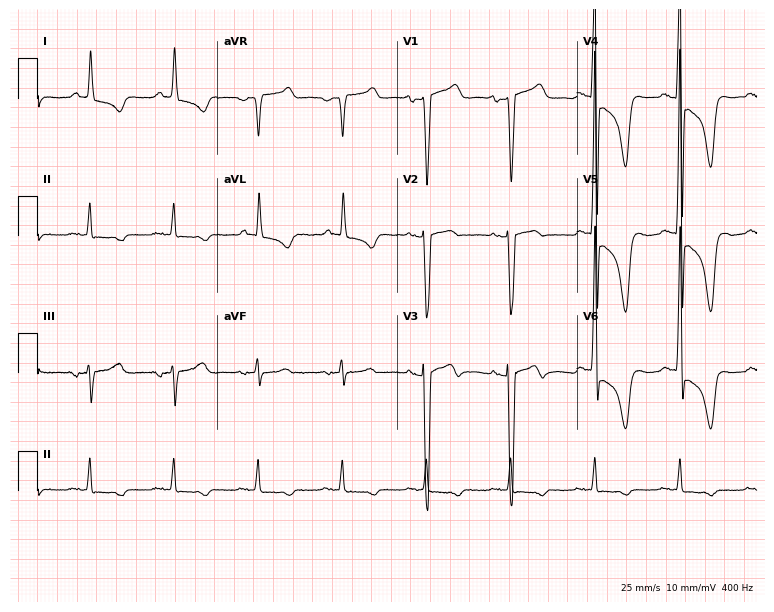
ECG (7.3-second recording at 400 Hz) — a man, 66 years old. Screened for six findings — first-degree AV block, right bundle branch block, left bundle branch block, sinus bradycardia, atrial fibrillation, sinus tachycardia — none is recorded.